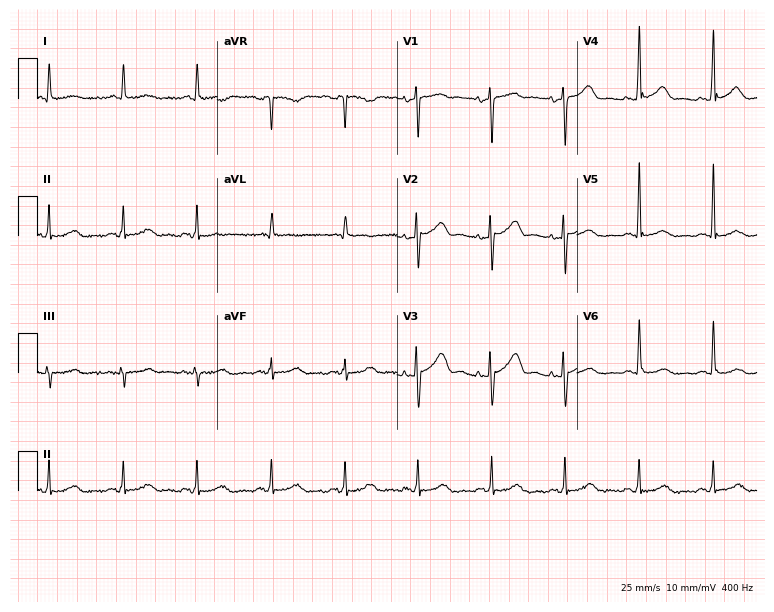
12-lead ECG from a male patient, 76 years old. Screened for six findings — first-degree AV block, right bundle branch block, left bundle branch block, sinus bradycardia, atrial fibrillation, sinus tachycardia — none is recorded. Other findings, if any, are not listed.